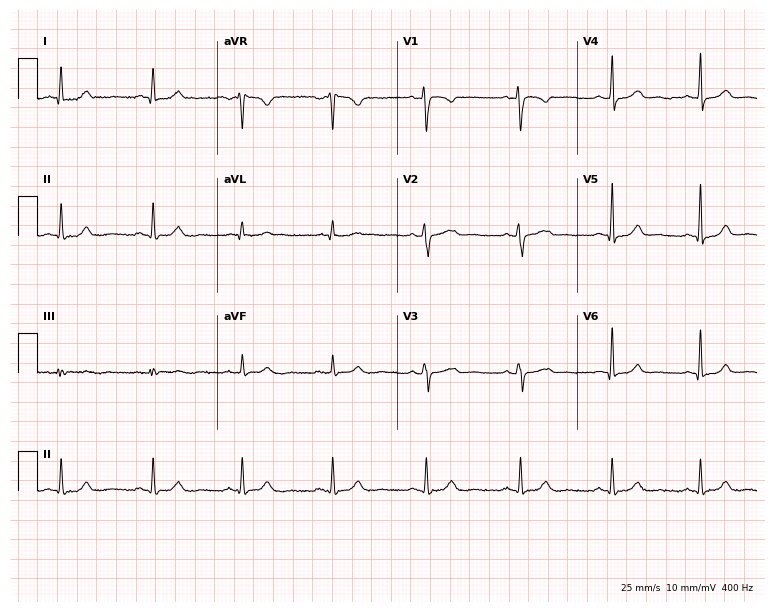
ECG (7.3-second recording at 400 Hz) — a 35-year-old female. Labelled as a normal ECG.